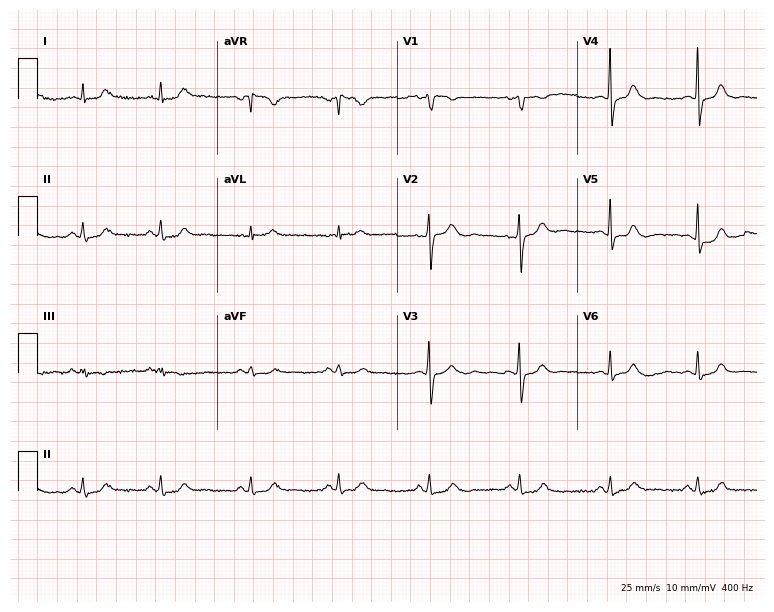
Electrocardiogram, a 48-year-old female patient. Overall reading on record: normal ECG.